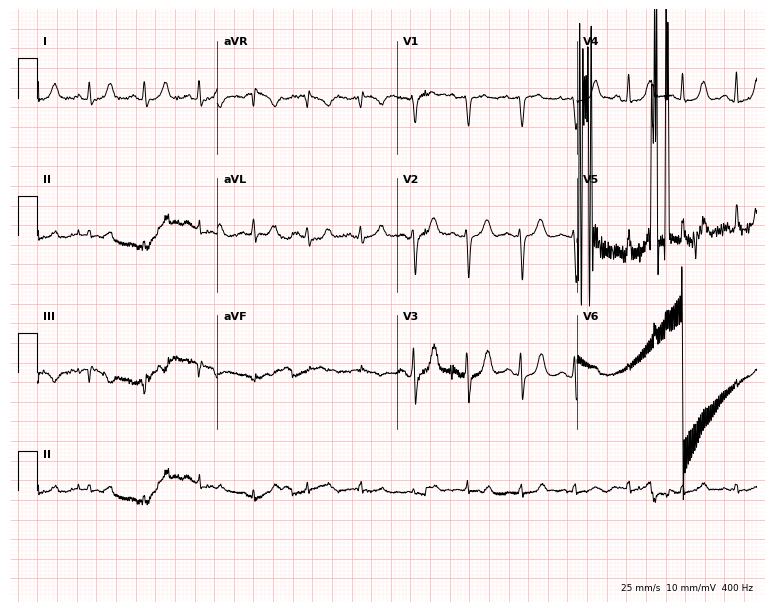
Electrocardiogram (7.3-second recording at 400 Hz), a female, 44 years old. Of the six screened findings (first-degree AV block, right bundle branch block (RBBB), left bundle branch block (LBBB), sinus bradycardia, atrial fibrillation (AF), sinus tachycardia), none is recorded.